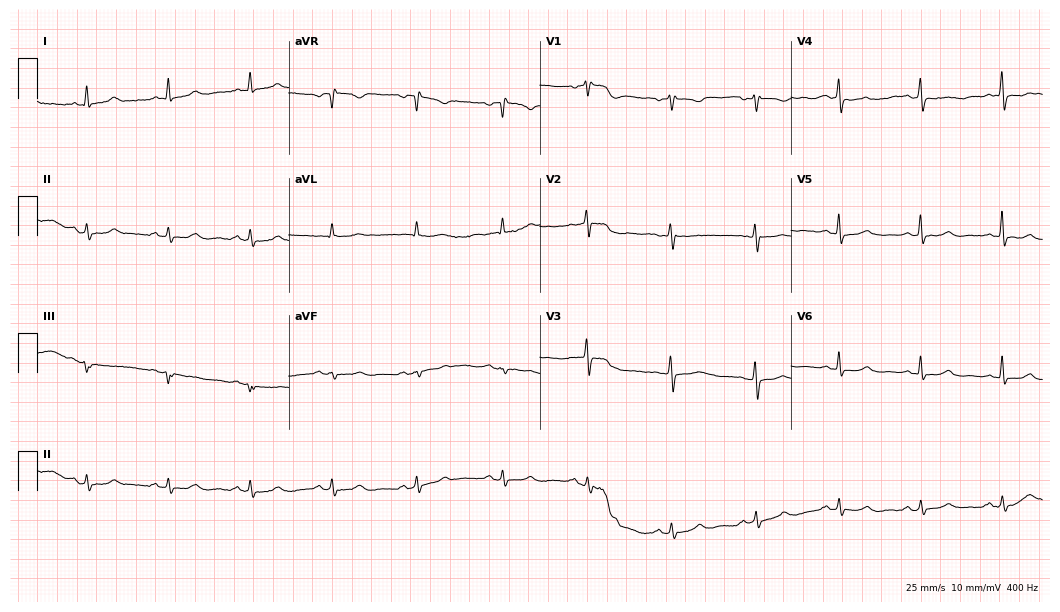
Resting 12-lead electrocardiogram (10.2-second recording at 400 Hz). Patient: a 67-year-old female. None of these six findings is recorded: first-degree AV block, right bundle branch block, left bundle branch block, sinus bradycardia, atrial fibrillation, sinus tachycardia. Other findings, if any, are not listed.